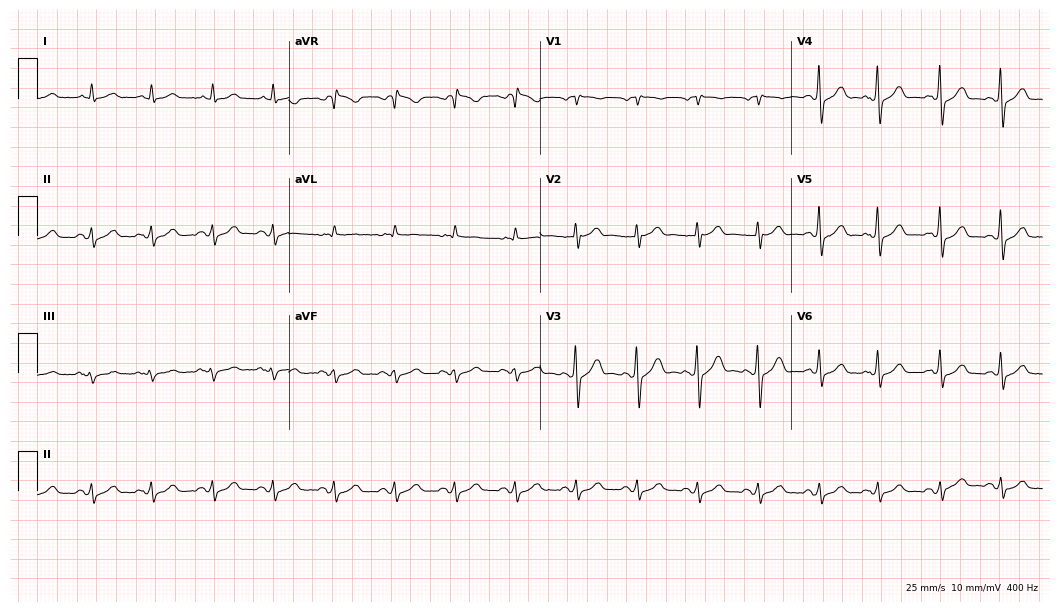
ECG (10.2-second recording at 400 Hz) — an 83-year-old man. Labelled as a normal ECG.